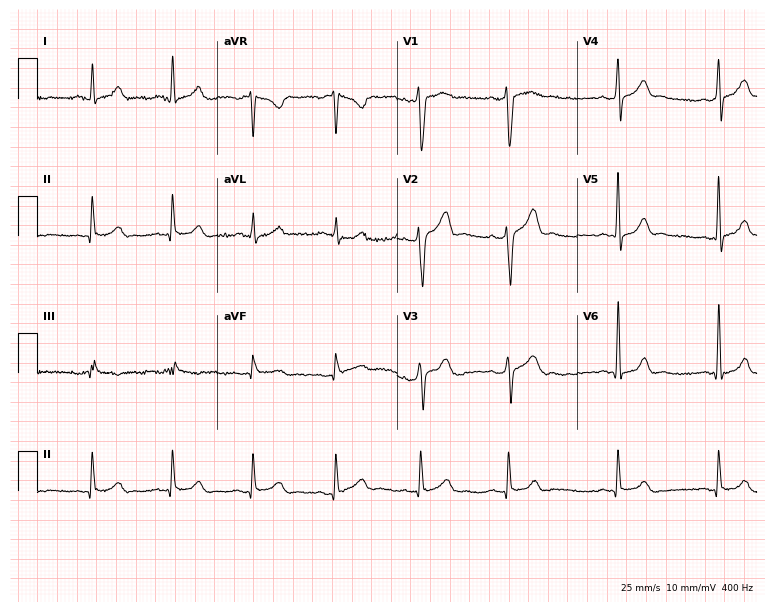
Resting 12-lead electrocardiogram (7.3-second recording at 400 Hz). Patient: a 22-year-old male. None of these six findings is recorded: first-degree AV block, right bundle branch block (RBBB), left bundle branch block (LBBB), sinus bradycardia, atrial fibrillation (AF), sinus tachycardia. Other findings, if any, are not listed.